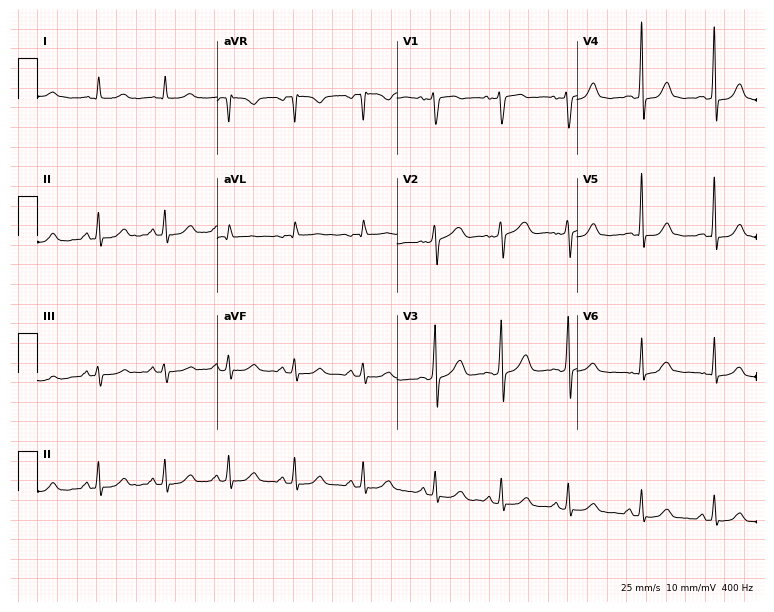
12-lead ECG from a woman, 51 years old. No first-degree AV block, right bundle branch block, left bundle branch block, sinus bradycardia, atrial fibrillation or sinus tachycardia recorded for this tracing. Other findings, if any, are not listed.